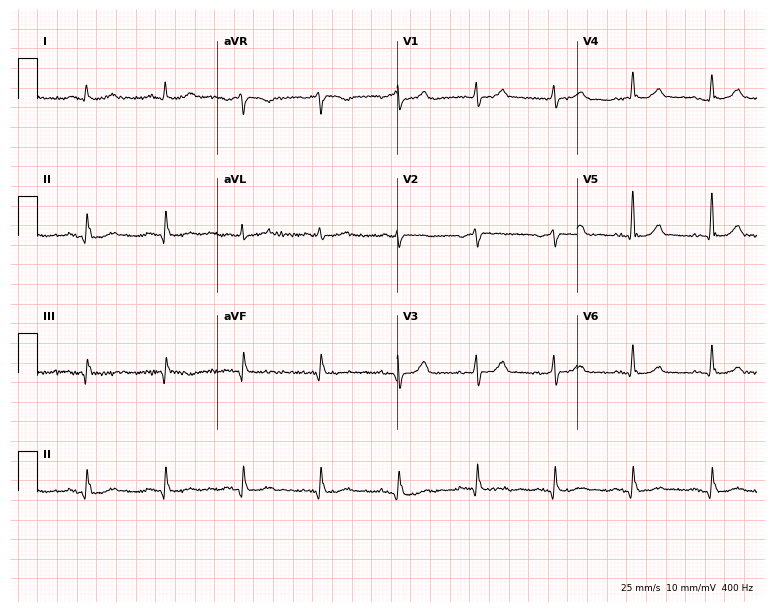
Resting 12-lead electrocardiogram (7.3-second recording at 400 Hz). Patient: a male, 75 years old. None of these six findings is recorded: first-degree AV block, right bundle branch block, left bundle branch block, sinus bradycardia, atrial fibrillation, sinus tachycardia. Findings outside these six are not listed.